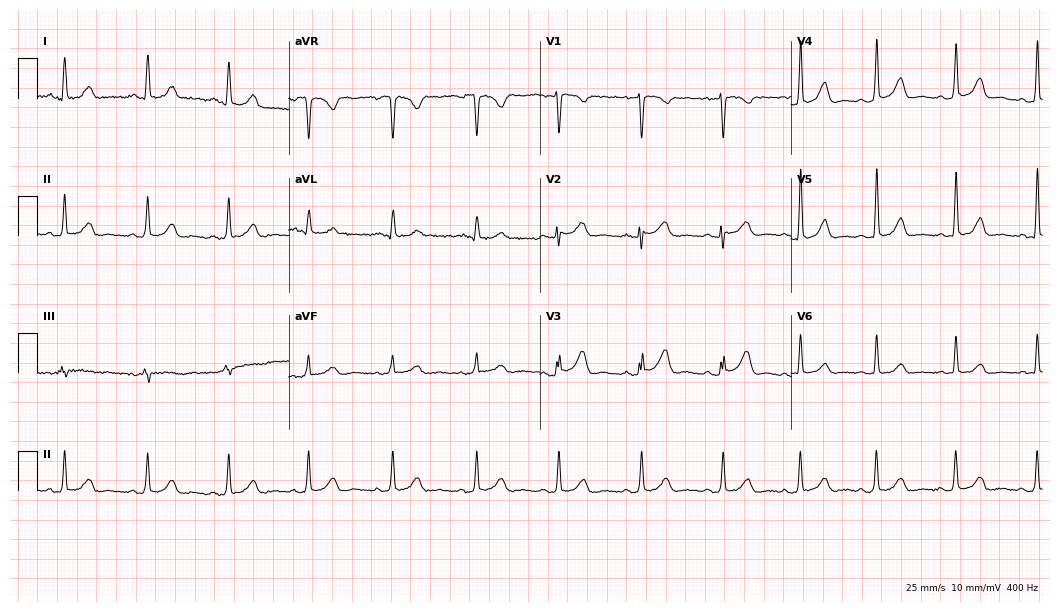
12-lead ECG from a 41-year-old female patient (10.2-second recording at 400 Hz). No first-degree AV block, right bundle branch block, left bundle branch block, sinus bradycardia, atrial fibrillation or sinus tachycardia recorded for this tracing.